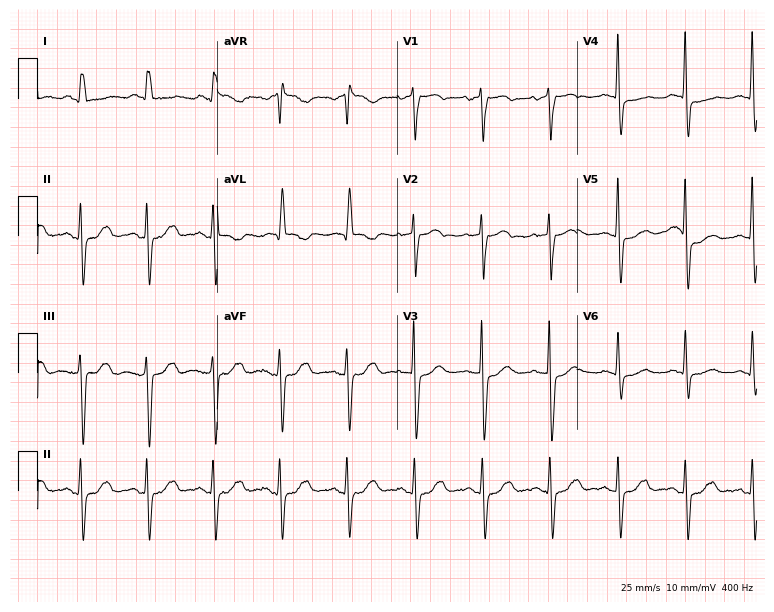
ECG (7.3-second recording at 400 Hz) — a 67-year-old woman. Screened for six findings — first-degree AV block, right bundle branch block, left bundle branch block, sinus bradycardia, atrial fibrillation, sinus tachycardia — none is recorded.